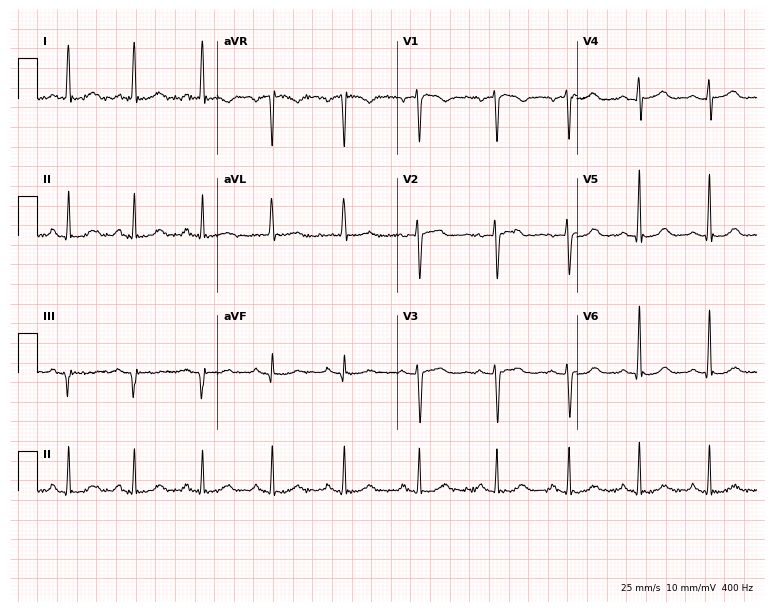
Resting 12-lead electrocardiogram (7.3-second recording at 400 Hz). Patient: a 55-year-old female. Read as a normal ECG.